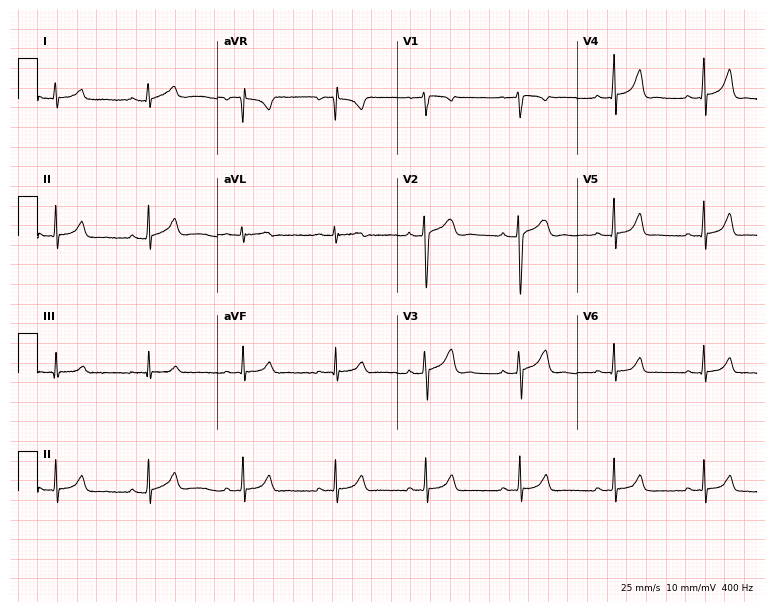
ECG (7.3-second recording at 400 Hz) — a 28-year-old female patient. Screened for six findings — first-degree AV block, right bundle branch block (RBBB), left bundle branch block (LBBB), sinus bradycardia, atrial fibrillation (AF), sinus tachycardia — none is recorded. Other findings, if any, are not listed.